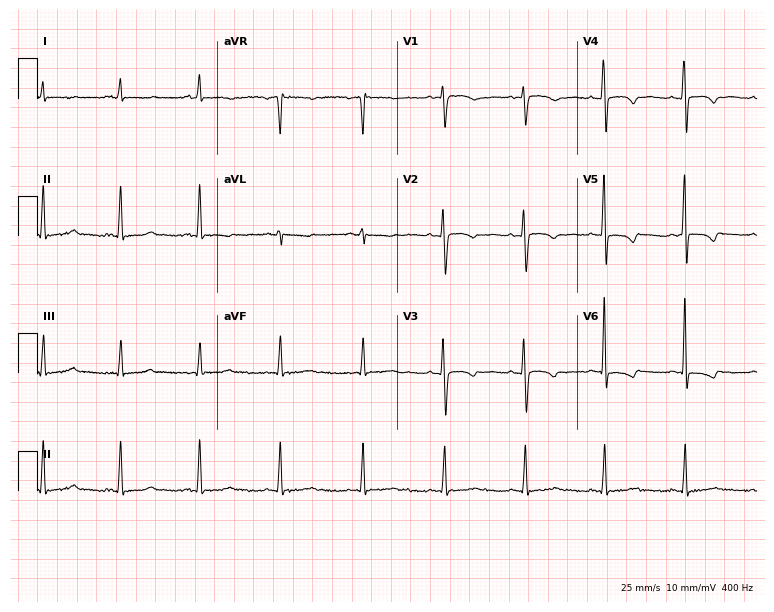
ECG — a female, 39 years old. Screened for six findings — first-degree AV block, right bundle branch block, left bundle branch block, sinus bradycardia, atrial fibrillation, sinus tachycardia — none is recorded.